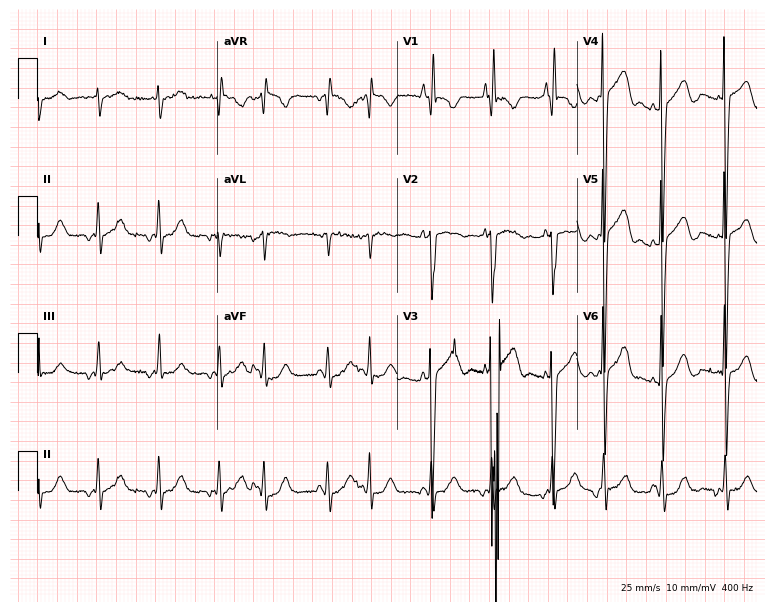
12-lead ECG (7.3-second recording at 400 Hz) from a female, 83 years old. Findings include sinus tachycardia (a sinus rate of 100 beats per minute or more).